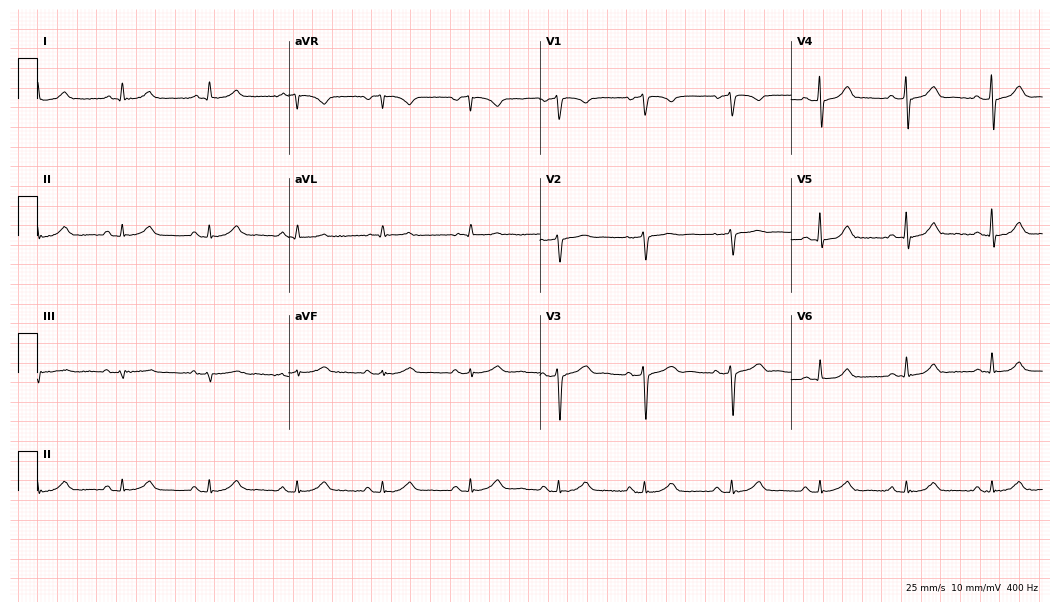
Electrocardiogram, a 67-year-old male patient. Overall reading on record: normal ECG.